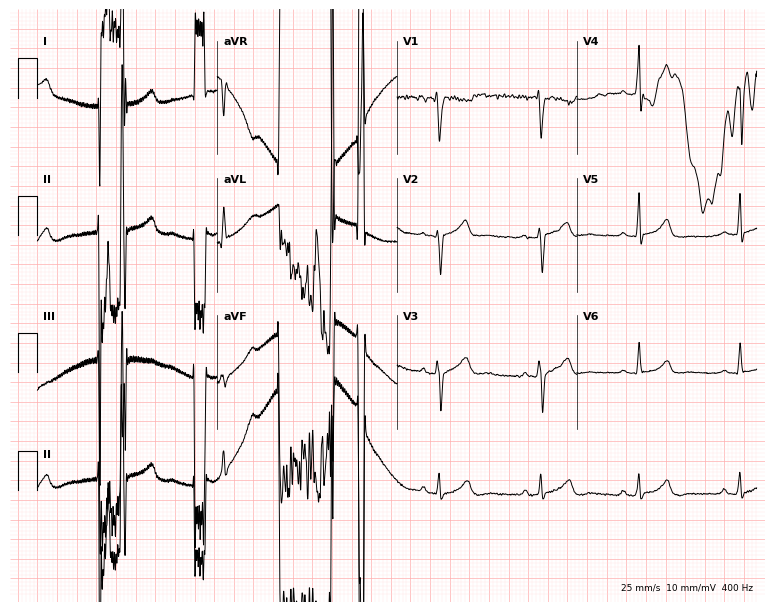
12-lead ECG from a 26-year-old male patient. No first-degree AV block, right bundle branch block, left bundle branch block, sinus bradycardia, atrial fibrillation or sinus tachycardia recorded for this tracing. Other findings, if any, are not listed.